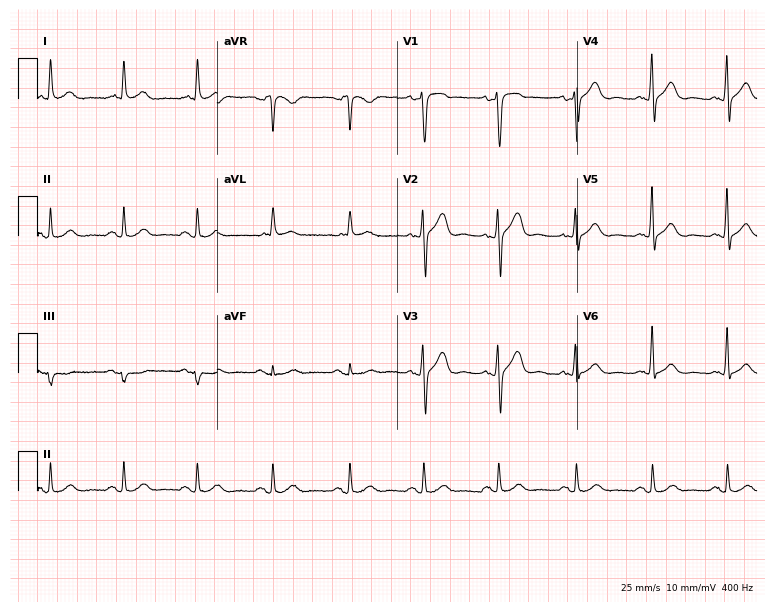
Electrocardiogram (7.3-second recording at 400 Hz), a 70-year-old male. Of the six screened findings (first-degree AV block, right bundle branch block (RBBB), left bundle branch block (LBBB), sinus bradycardia, atrial fibrillation (AF), sinus tachycardia), none is recorded.